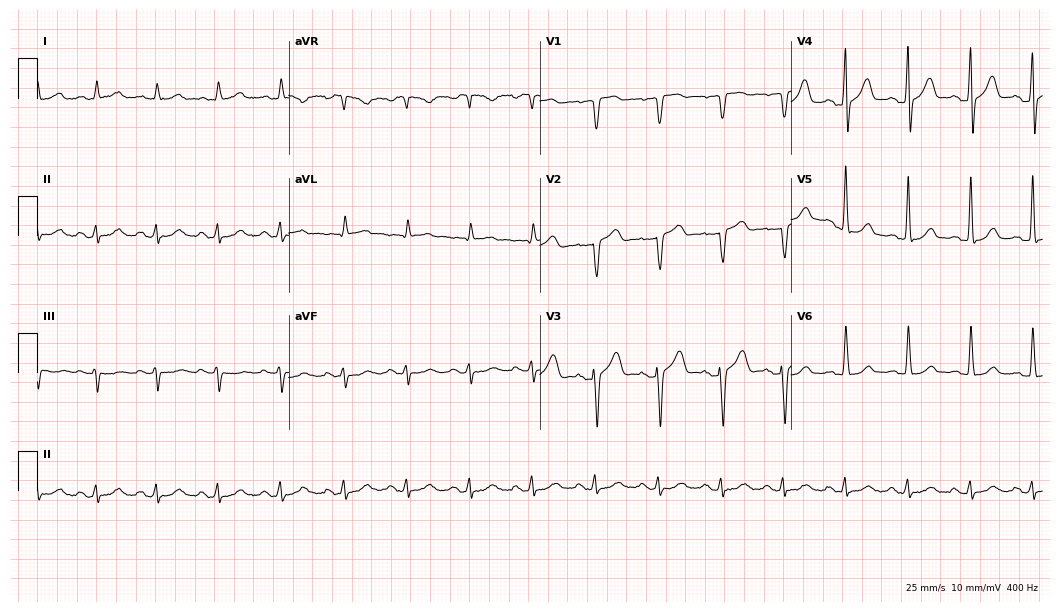
Resting 12-lead electrocardiogram. Patient: a man, 59 years old. None of these six findings is recorded: first-degree AV block, right bundle branch block, left bundle branch block, sinus bradycardia, atrial fibrillation, sinus tachycardia.